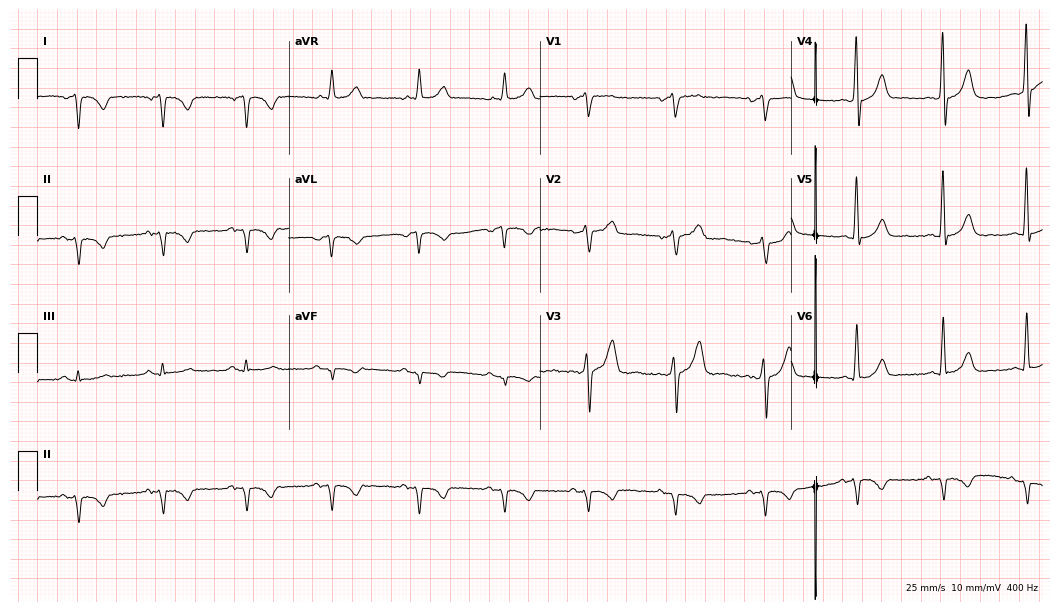
12-lead ECG from a 52-year-old male. No first-degree AV block, right bundle branch block, left bundle branch block, sinus bradycardia, atrial fibrillation or sinus tachycardia recorded for this tracing. Findings outside these six are not listed.